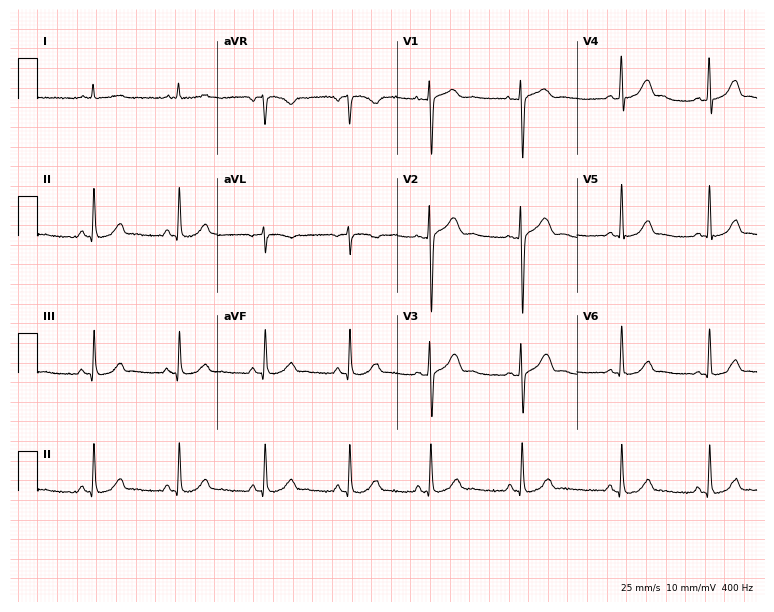
Standard 12-lead ECG recorded from a female, 29 years old. Read as a normal ECG.